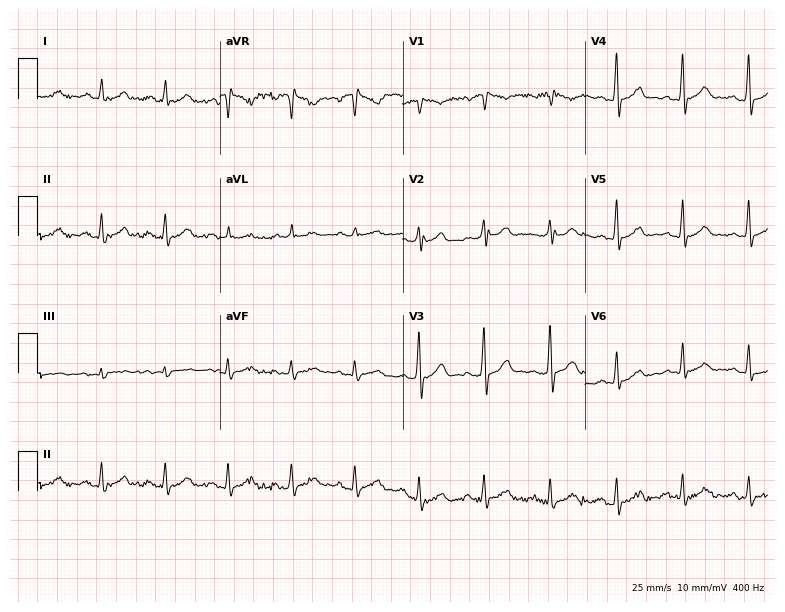
12-lead ECG from a 37-year-old male. Screened for six findings — first-degree AV block, right bundle branch block, left bundle branch block, sinus bradycardia, atrial fibrillation, sinus tachycardia — none is recorded. Only these six findings were labelled.